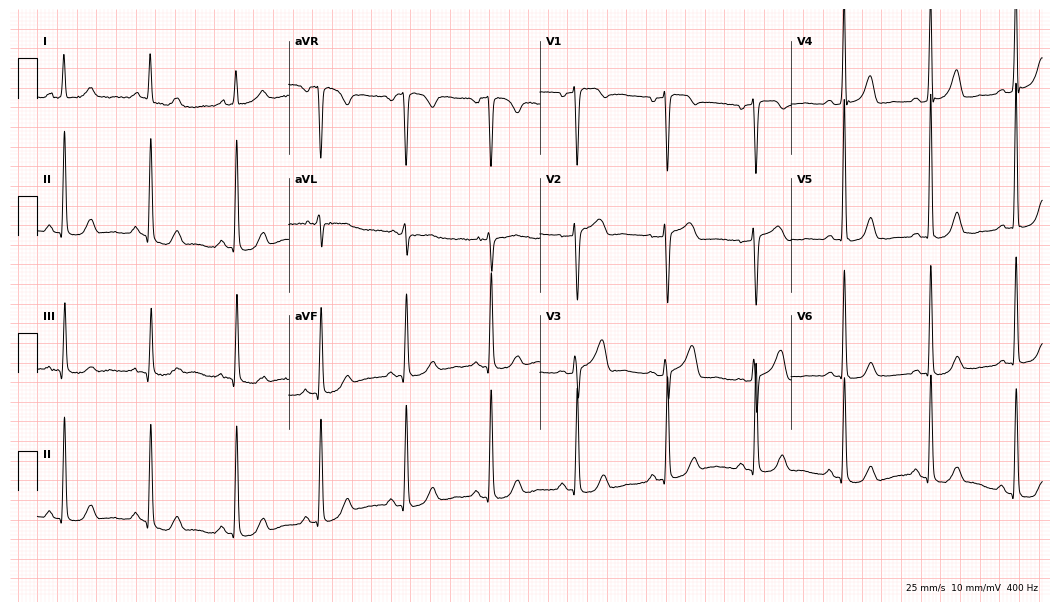
Resting 12-lead electrocardiogram. Patient: a 72-year-old female. None of these six findings is recorded: first-degree AV block, right bundle branch block, left bundle branch block, sinus bradycardia, atrial fibrillation, sinus tachycardia. Only these six findings were labelled.